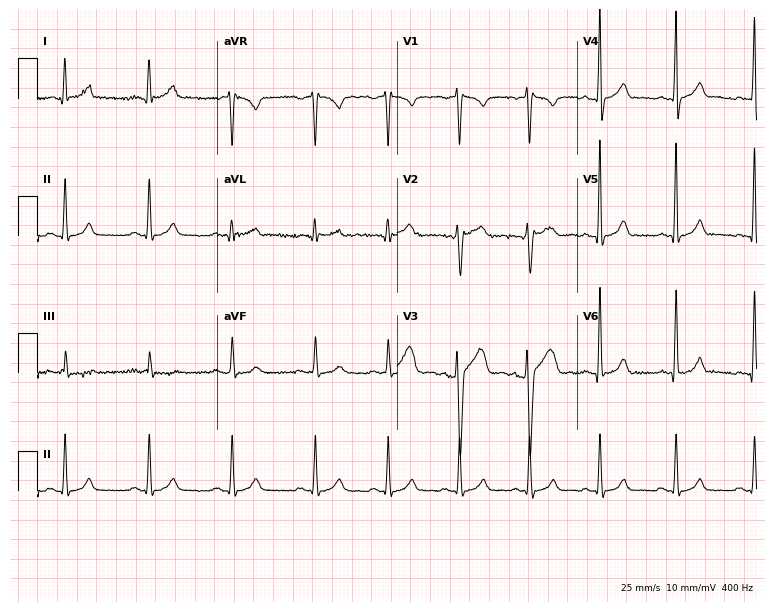
12-lead ECG from a male, 21 years old. Labelled as a normal ECG.